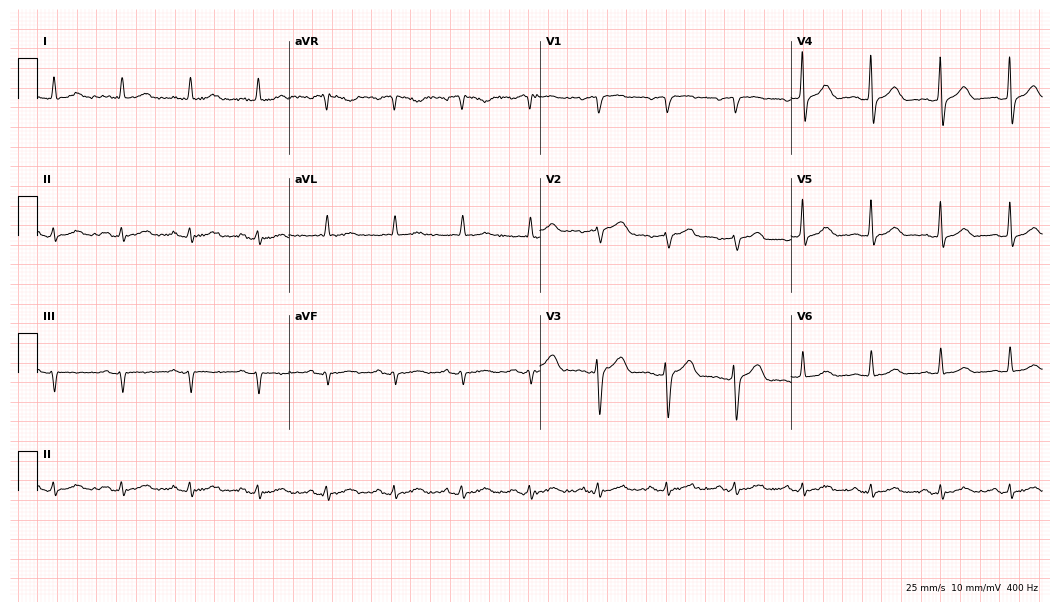
Electrocardiogram, a 76-year-old man. Overall reading on record: normal ECG.